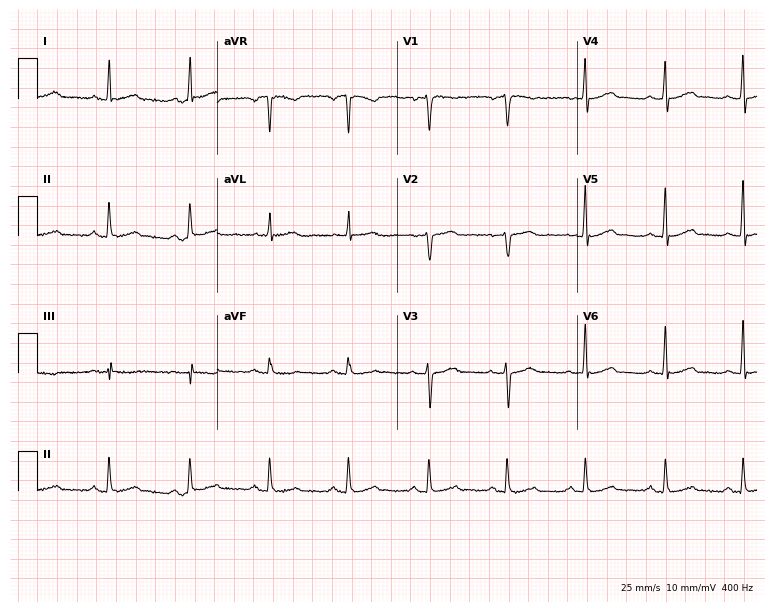
ECG — a 43-year-old female. Screened for six findings — first-degree AV block, right bundle branch block (RBBB), left bundle branch block (LBBB), sinus bradycardia, atrial fibrillation (AF), sinus tachycardia — none is recorded. Other findings, if any, are not listed.